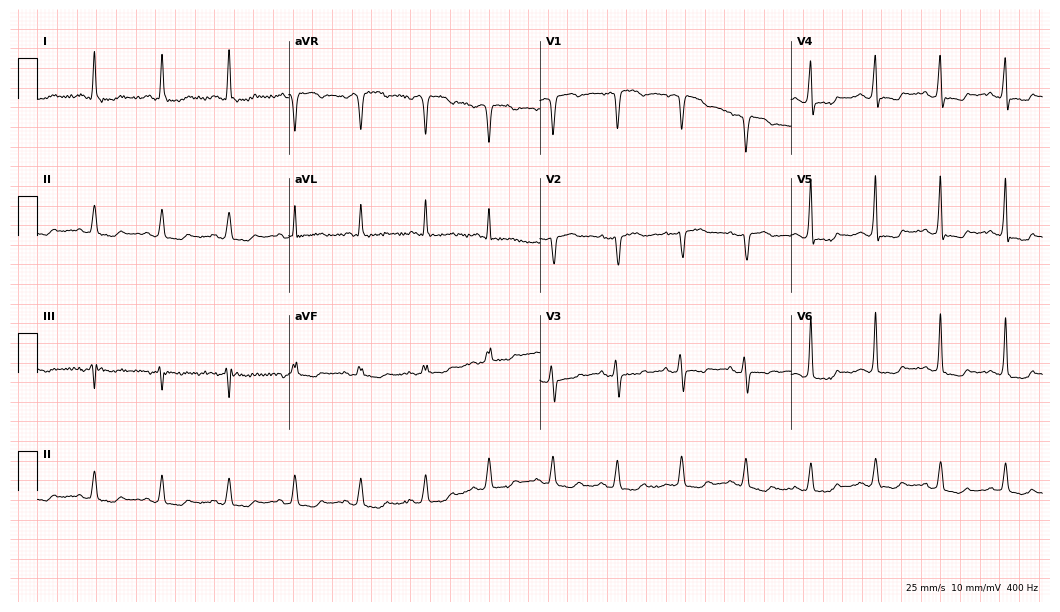
Standard 12-lead ECG recorded from a female patient, 61 years old (10.2-second recording at 400 Hz). None of these six findings is recorded: first-degree AV block, right bundle branch block (RBBB), left bundle branch block (LBBB), sinus bradycardia, atrial fibrillation (AF), sinus tachycardia.